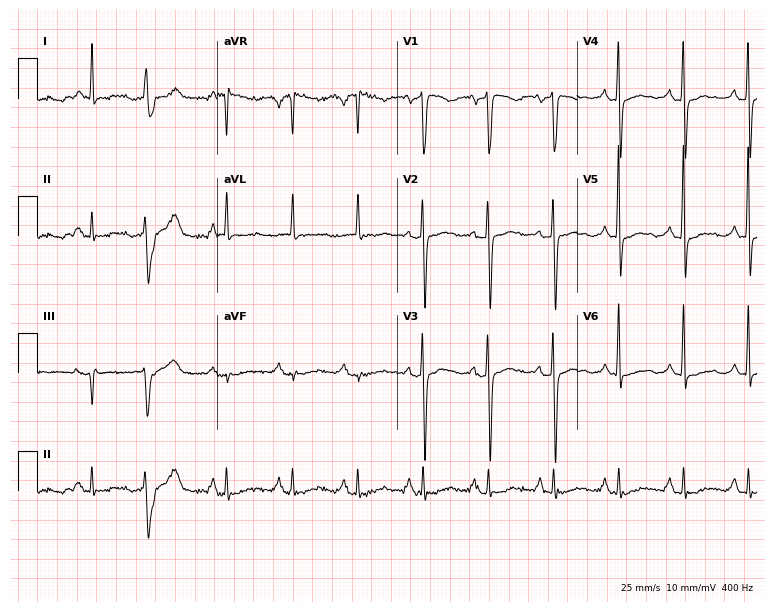
Standard 12-lead ECG recorded from a female, 82 years old (7.3-second recording at 400 Hz). None of these six findings is recorded: first-degree AV block, right bundle branch block (RBBB), left bundle branch block (LBBB), sinus bradycardia, atrial fibrillation (AF), sinus tachycardia. Findings outside these six are not listed.